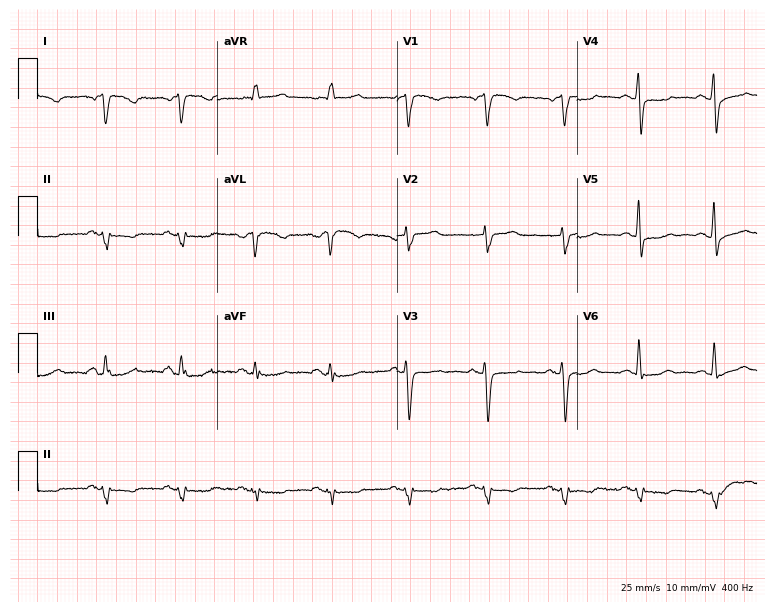
Resting 12-lead electrocardiogram. Patient: a 68-year-old female. None of these six findings is recorded: first-degree AV block, right bundle branch block (RBBB), left bundle branch block (LBBB), sinus bradycardia, atrial fibrillation (AF), sinus tachycardia.